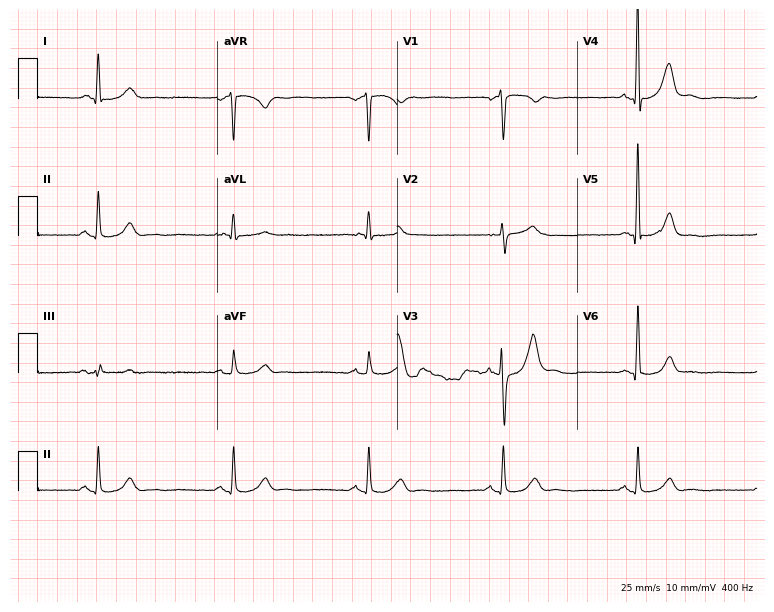
ECG — a male, 79 years old. Findings include sinus bradycardia (a sinus rate of 50 beats per minute or less).